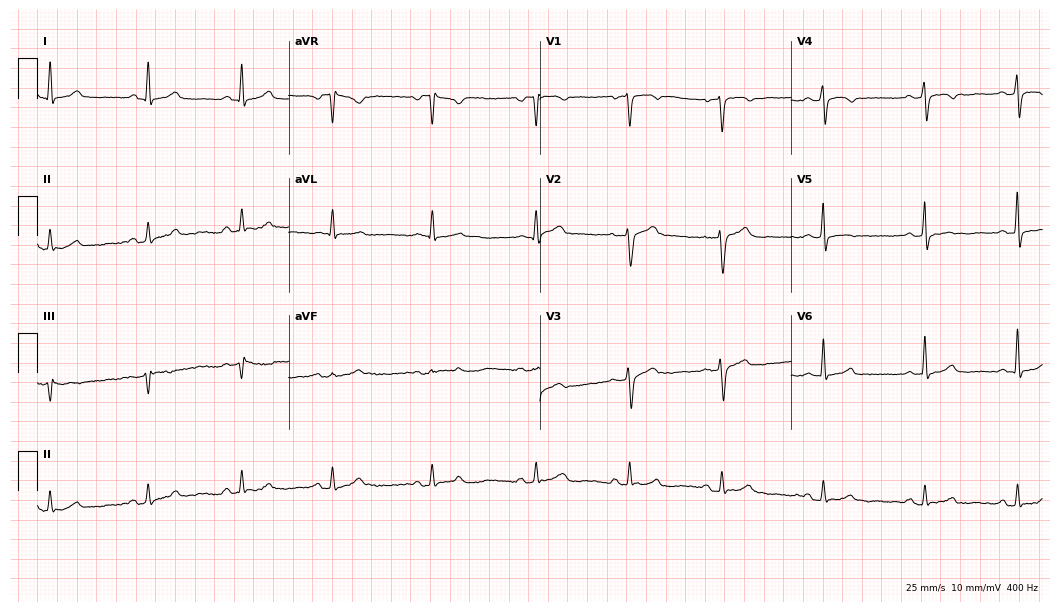
Standard 12-lead ECG recorded from a 47-year-old woman. None of these six findings is recorded: first-degree AV block, right bundle branch block (RBBB), left bundle branch block (LBBB), sinus bradycardia, atrial fibrillation (AF), sinus tachycardia. Other findings, if any, are not listed.